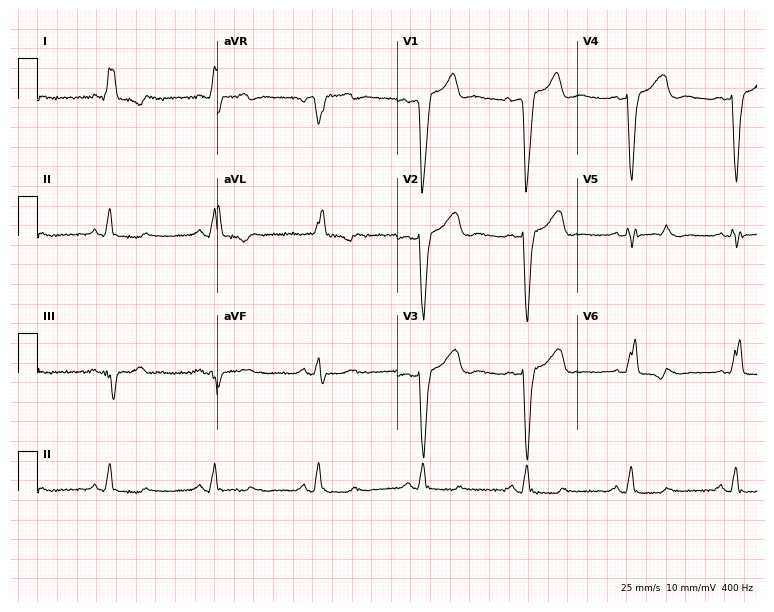
Resting 12-lead electrocardiogram (7.3-second recording at 400 Hz). Patient: a man, 73 years old. The tracing shows left bundle branch block.